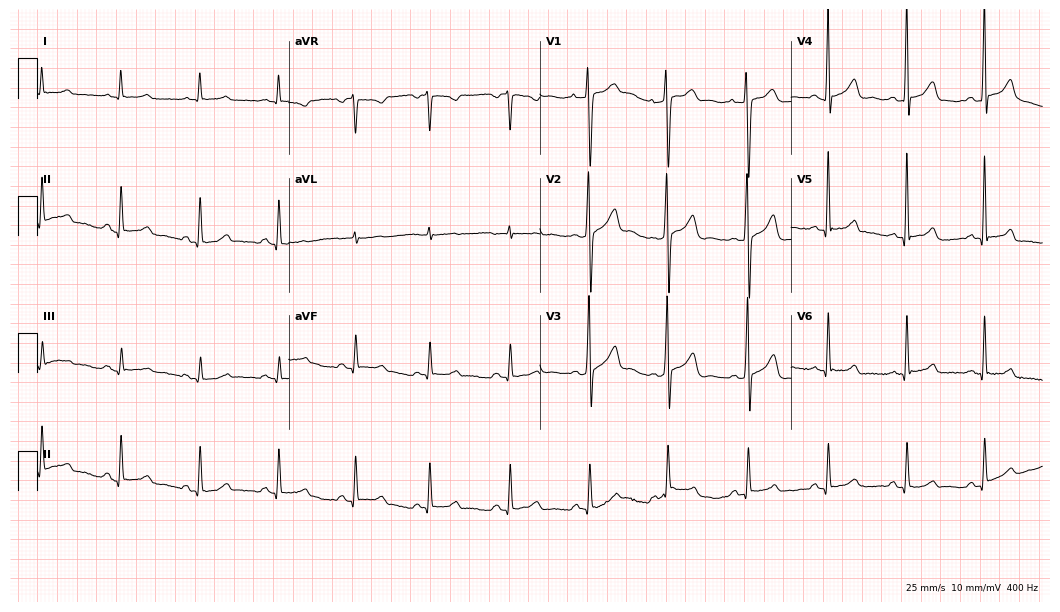
12-lead ECG from a male, 30 years old. Recorded interpretation: within normal limits.